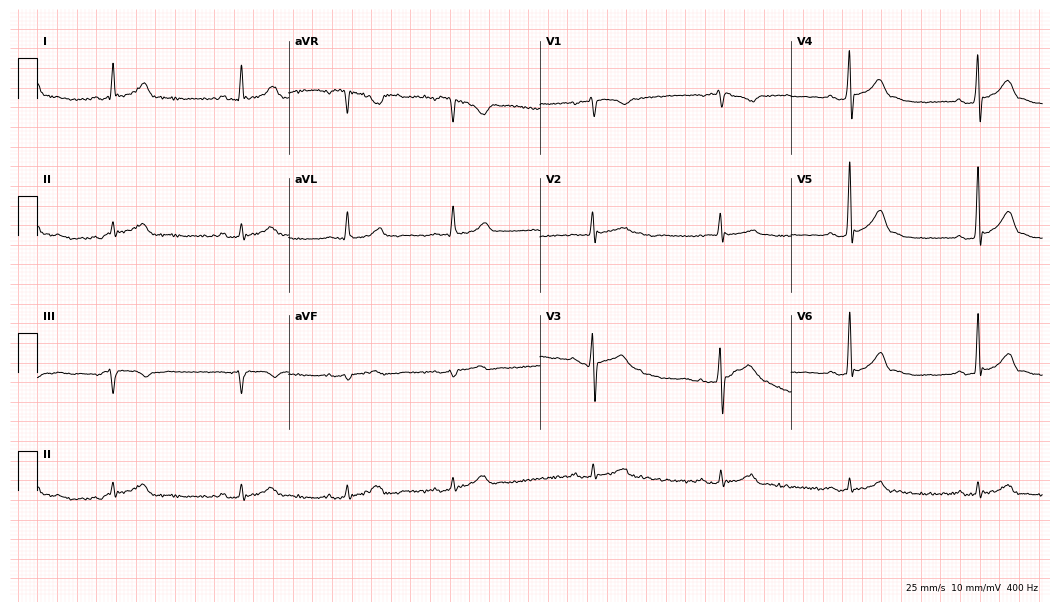
Resting 12-lead electrocardiogram (10.2-second recording at 400 Hz). Patient: a 32-year-old woman. Read as a normal ECG.